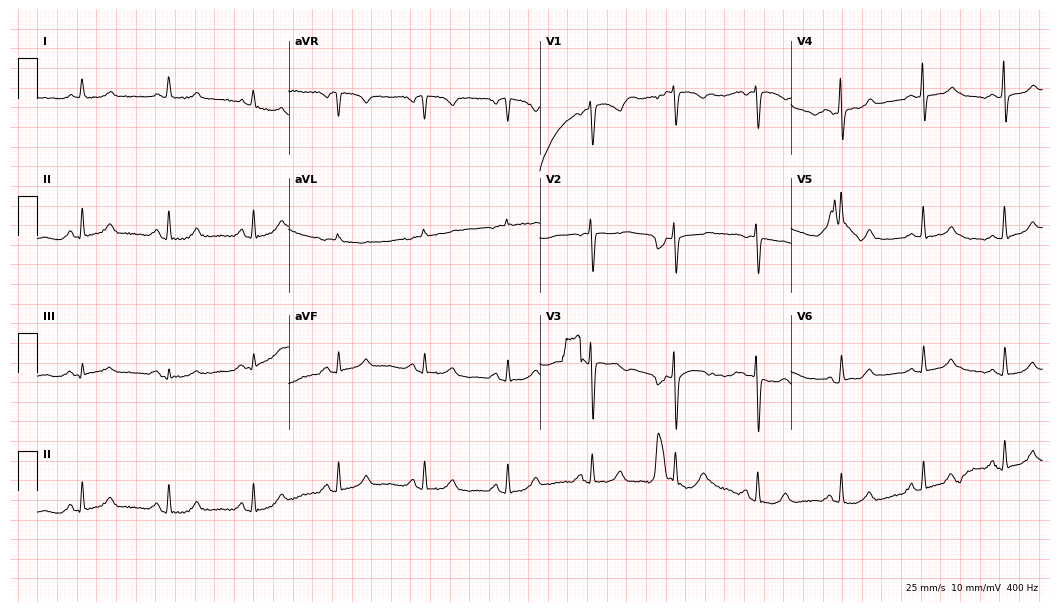
ECG — a female, 58 years old. Screened for six findings — first-degree AV block, right bundle branch block (RBBB), left bundle branch block (LBBB), sinus bradycardia, atrial fibrillation (AF), sinus tachycardia — none is recorded.